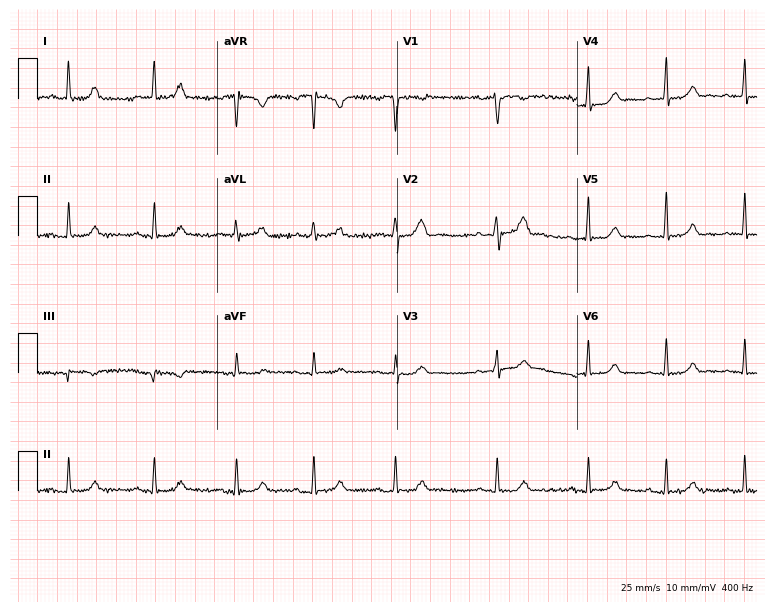
ECG (7.3-second recording at 400 Hz) — a woman, 32 years old. Labelled as a normal ECG.